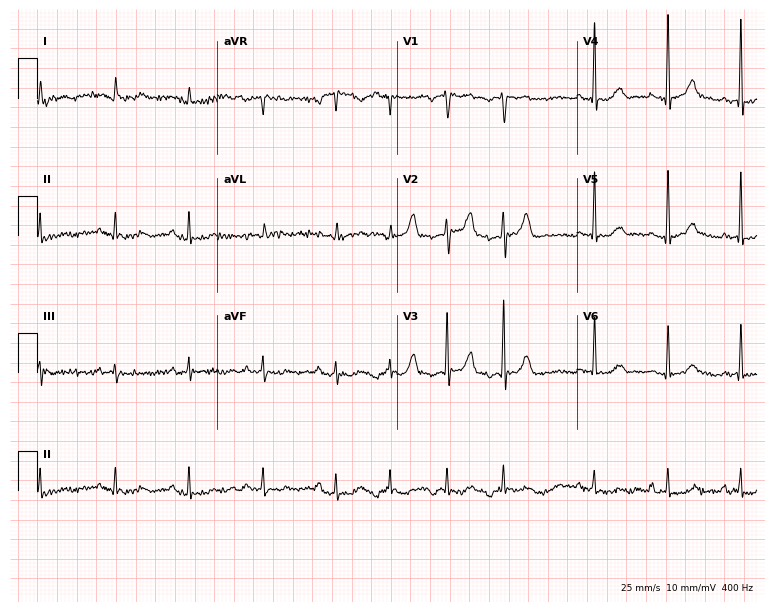
Standard 12-lead ECG recorded from a man, 80 years old. None of these six findings is recorded: first-degree AV block, right bundle branch block, left bundle branch block, sinus bradycardia, atrial fibrillation, sinus tachycardia. Only these six findings were labelled.